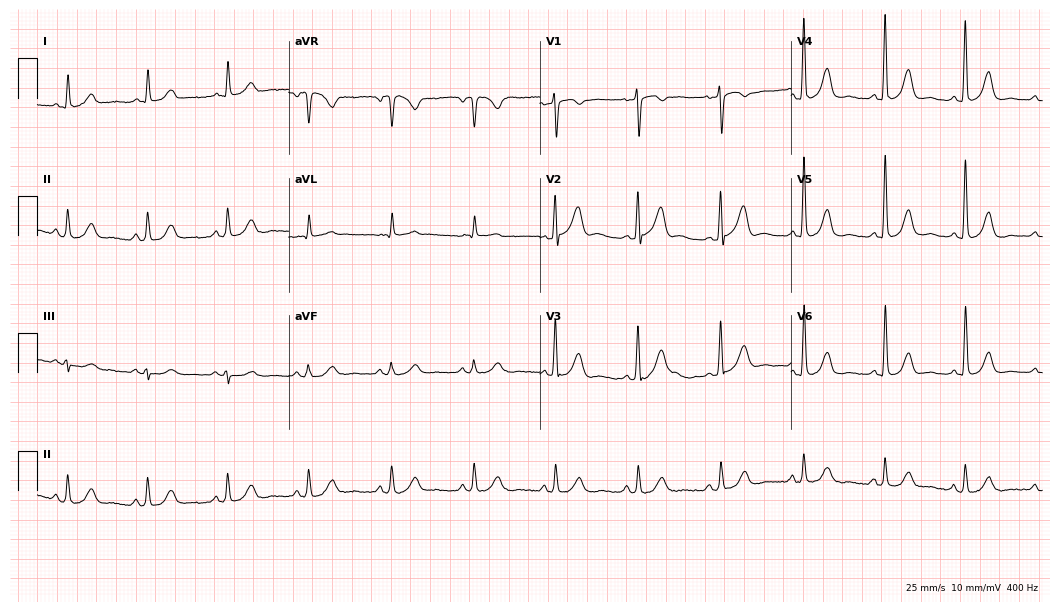
12-lead ECG from a 74-year-old woman (10.2-second recording at 400 Hz). Recorded interpretation: within normal limits.